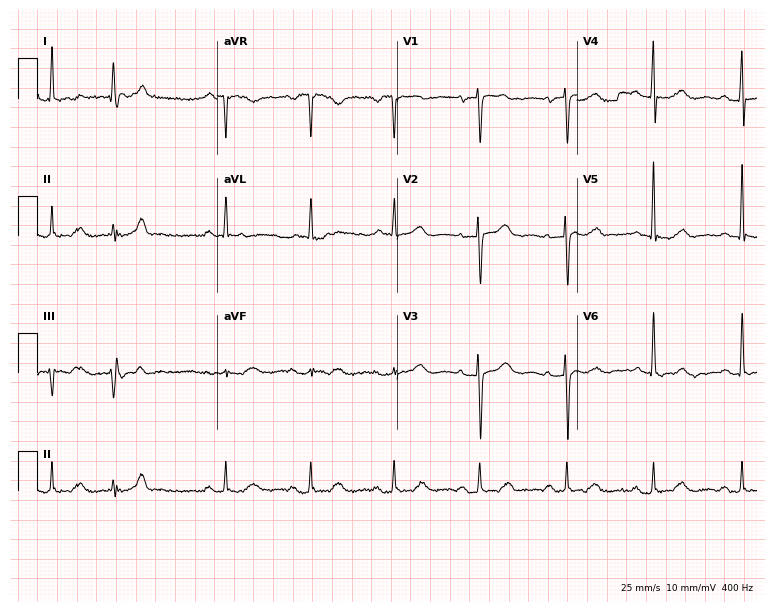
Resting 12-lead electrocardiogram. Patient: a female, 69 years old. None of these six findings is recorded: first-degree AV block, right bundle branch block, left bundle branch block, sinus bradycardia, atrial fibrillation, sinus tachycardia.